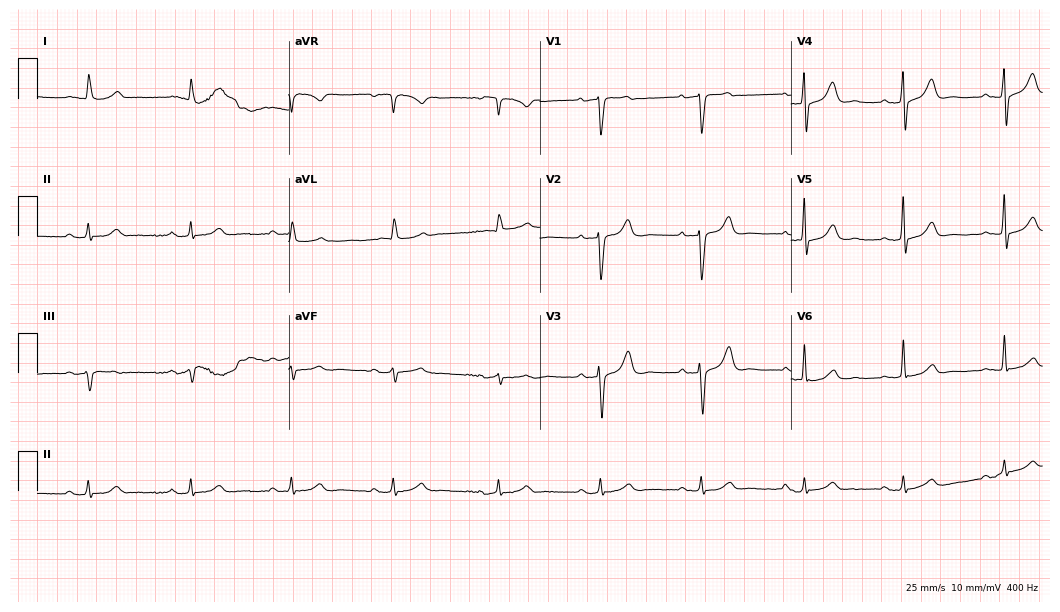
Electrocardiogram, a 79-year-old male patient. Overall reading on record: normal ECG.